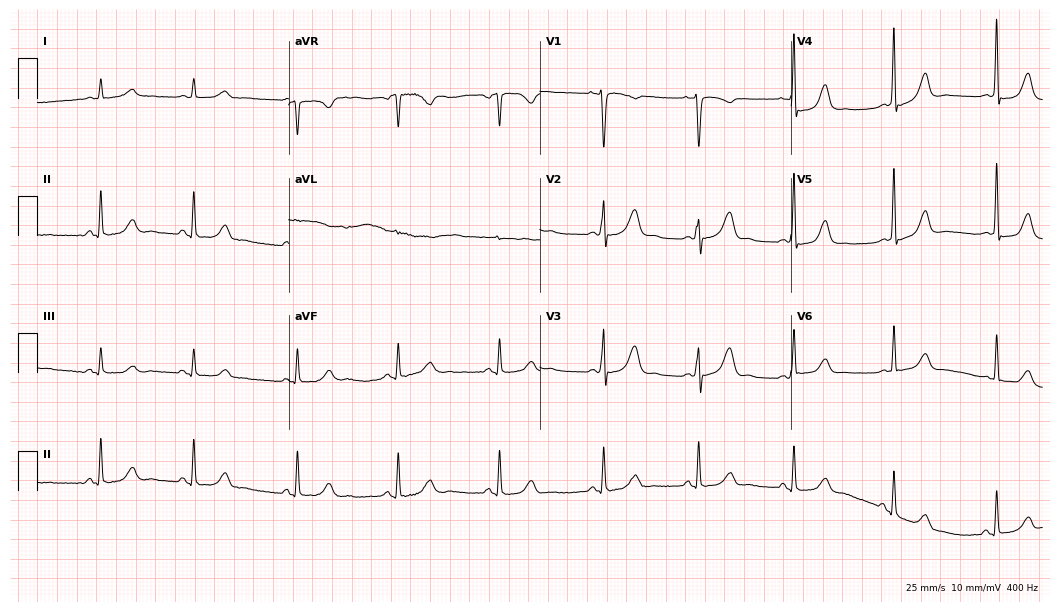
12-lead ECG from a female, 44 years old. Labelled as a normal ECG.